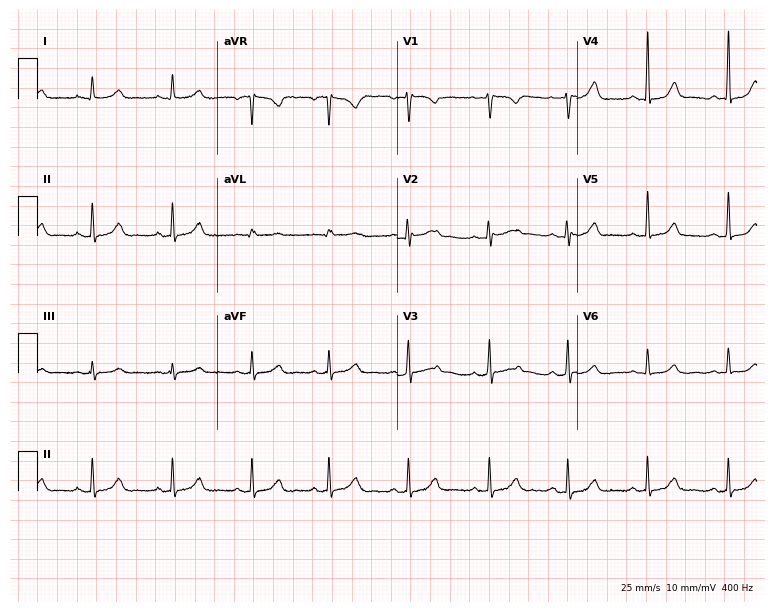
Standard 12-lead ECG recorded from a woman, 38 years old. None of these six findings is recorded: first-degree AV block, right bundle branch block (RBBB), left bundle branch block (LBBB), sinus bradycardia, atrial fibrillation (AF), sinus tachycardia.